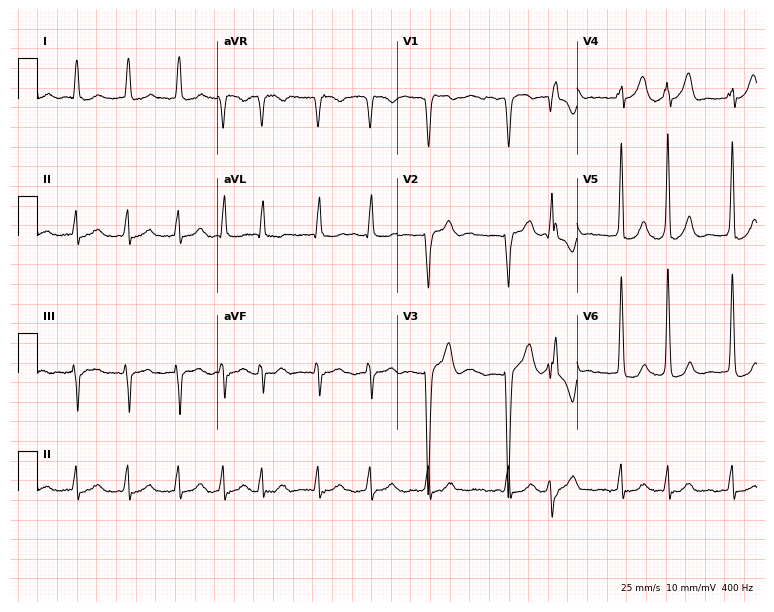
Electrocardiogram (7.3-second recording at 400 Hz), a male, 85 years old. Interpretation includes atrial fibrillation.